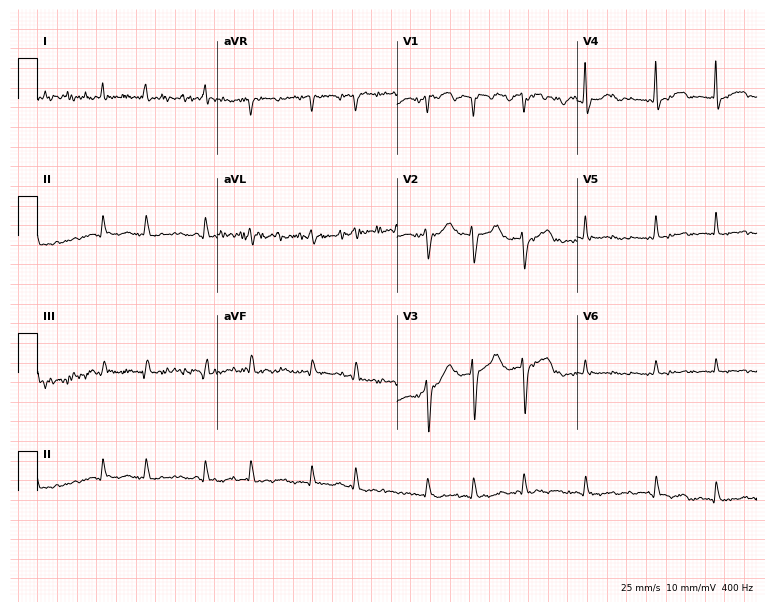
12-lead ECG from an 85-year-old female. Shows atrial fibrillation (AF).